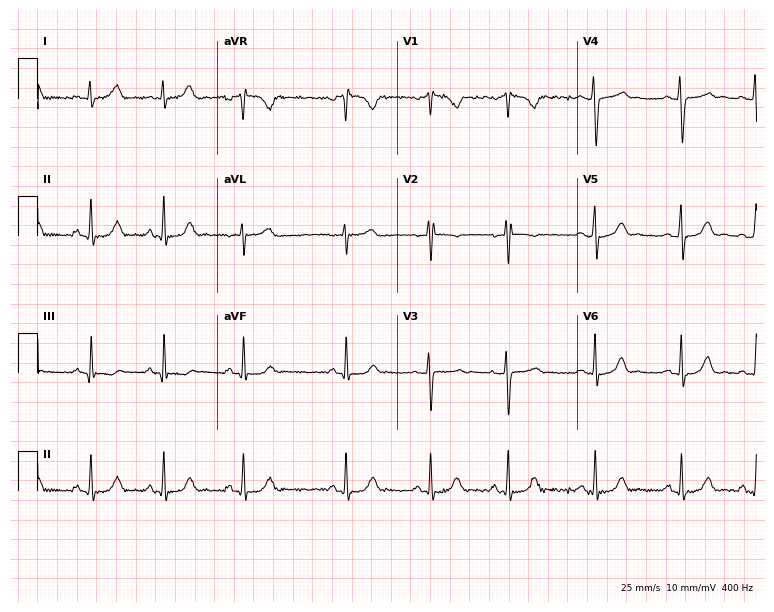
12-lead ECG from a 19-year-old female patient. No first-degree AV block, right bundle branch block (RBBB), left bundle branch block (LBBB), sinus bradycardia, atrial fibrillation (AF) or sinus tachycardia recorded for this tracing.